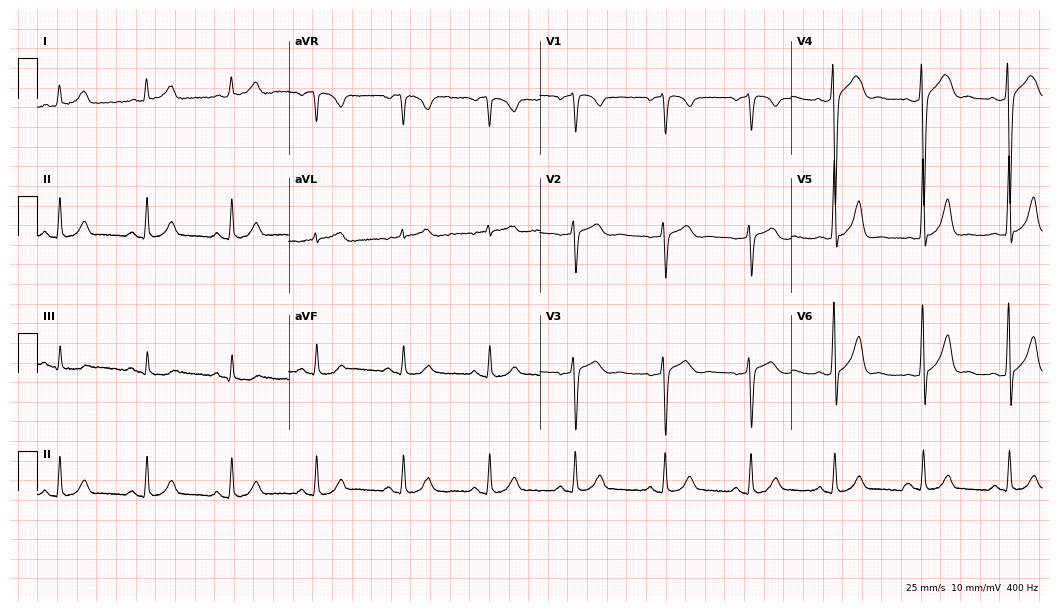
12-lead ECG from a male patient, 68 years old. Screened for six findings — first-degree AV block, right bundle branch block (RBBB), left bundle branch block (LBBB), sinus bradycardia, atrial fibrillation (AF), sinus tachycardia — none is recorded. Findings outside these six are not listed.